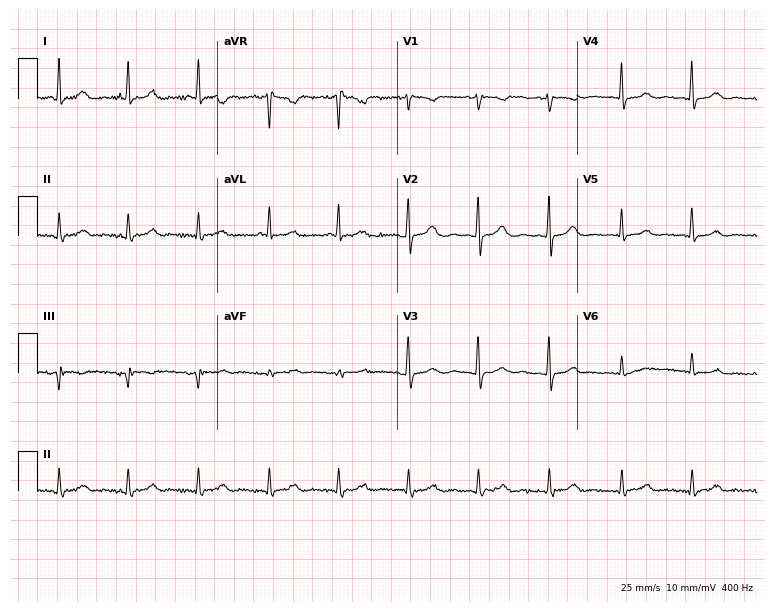
Resting 12-lead electrocardiogram. Patient: a 67-year-old female. Read as a normal ECG.